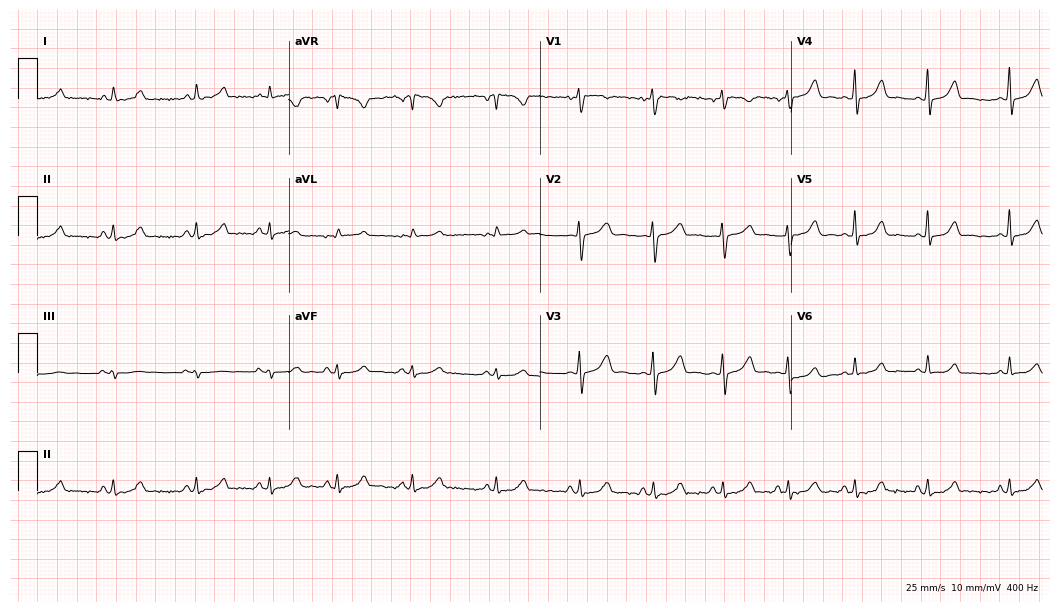
12-lead ECG from a female, 23 years old. Recorded interpretation: within normal limits.